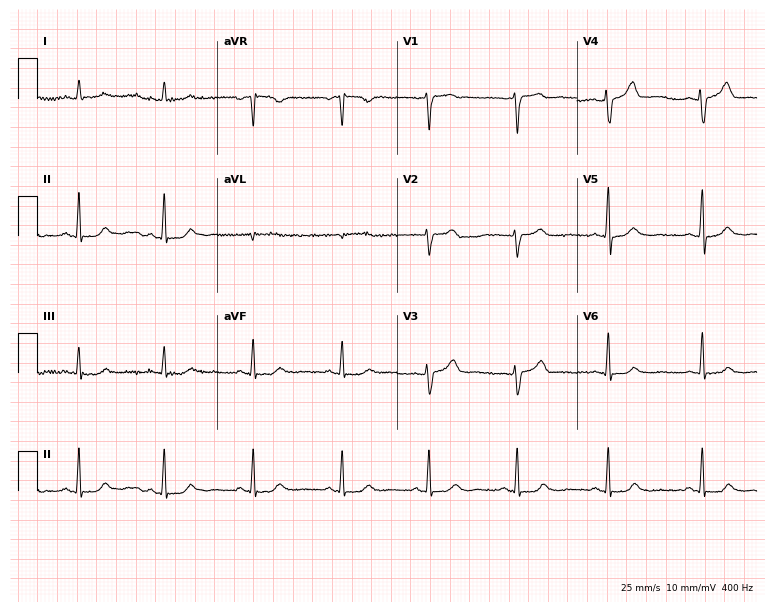
Standard 12-lead ECG recorded from a 50-year-old woman. None of these six findings is recorded: first-degree AV block, right bundle branch block (RBBB), left bundle branch block (LBBB), sinus bradycardia, atrial fibrillation (AF), sinus tachycardia. Findings outside these six are not listed.